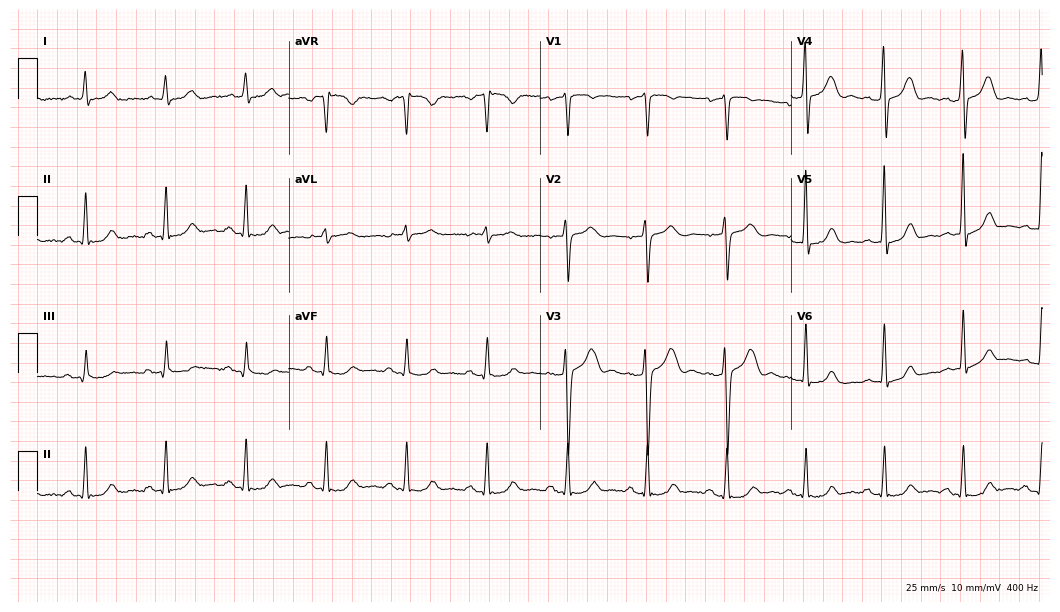
Electrocardiogram, a 73-year-old man. Overall reading on record: normal ECG.